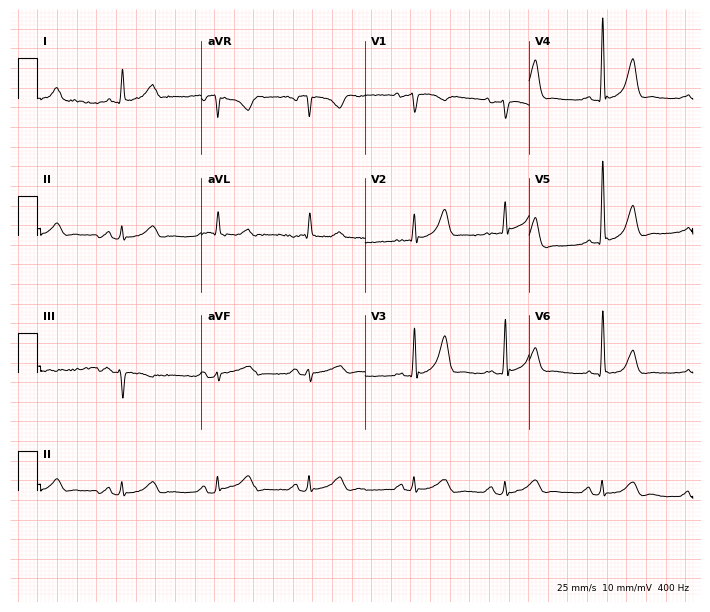
12-lead ECG (6.7-second recording at 400 Hz) from a 26-year-old male patient. Screened for six findings — first-degree AV block, right bundle branch block (RBBB), left bundle branch block (LBBB), sinus bradycardia, atrial fibrillation (AF), sinus tachycardia — none is recorded. Only these six findings were labelled.